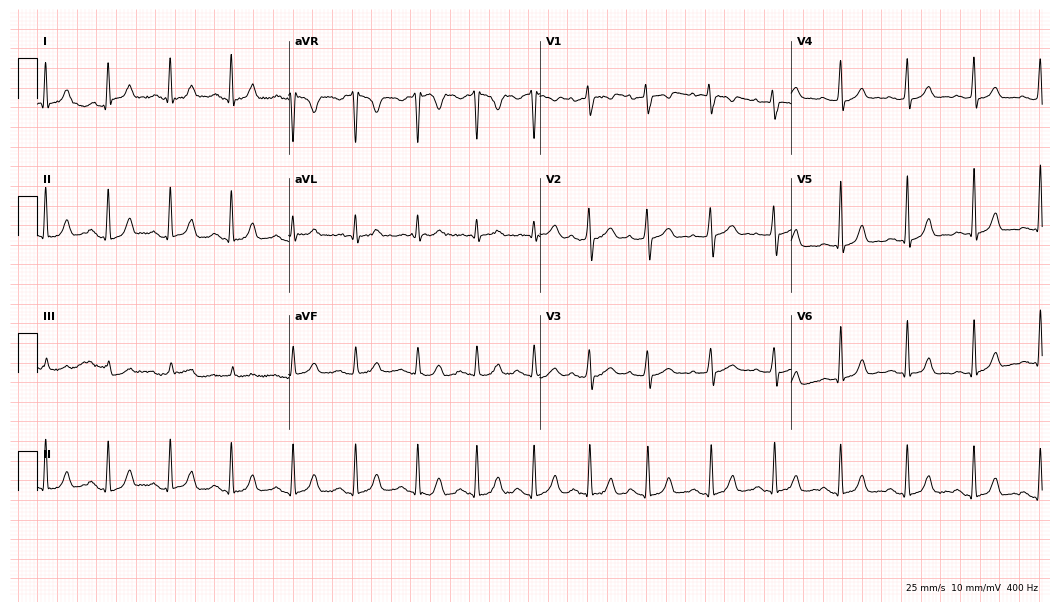
Electrocardiogram, a woman, 32 years old. Overall reading on record: normal ECG.